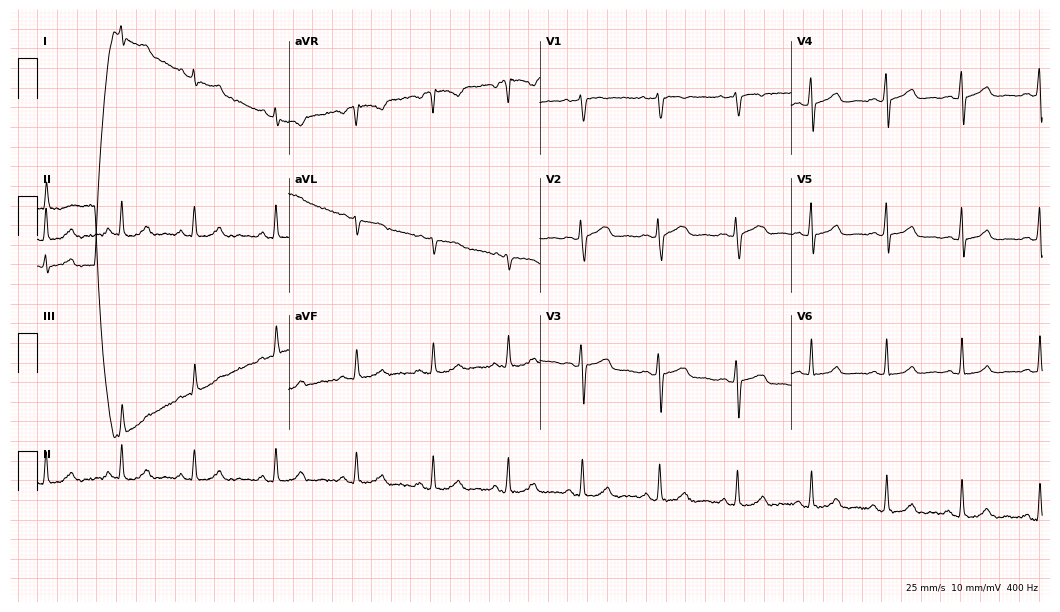
Resting 12-lead electrocardiogram. Patient: a 34-year-old female. Read as a normal ECG.